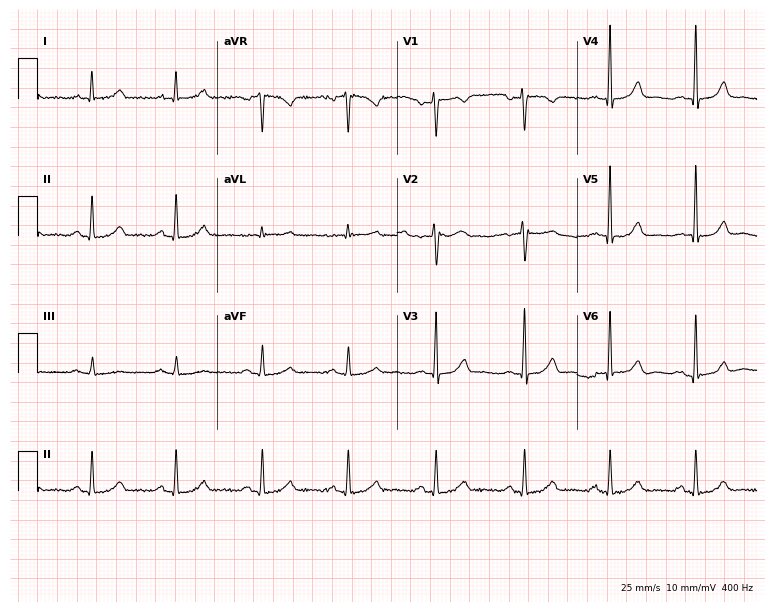
12-lead ECG (7.3-second recording at 400 Hz) from a female, 44 years old. Labelled as a normal ECG.